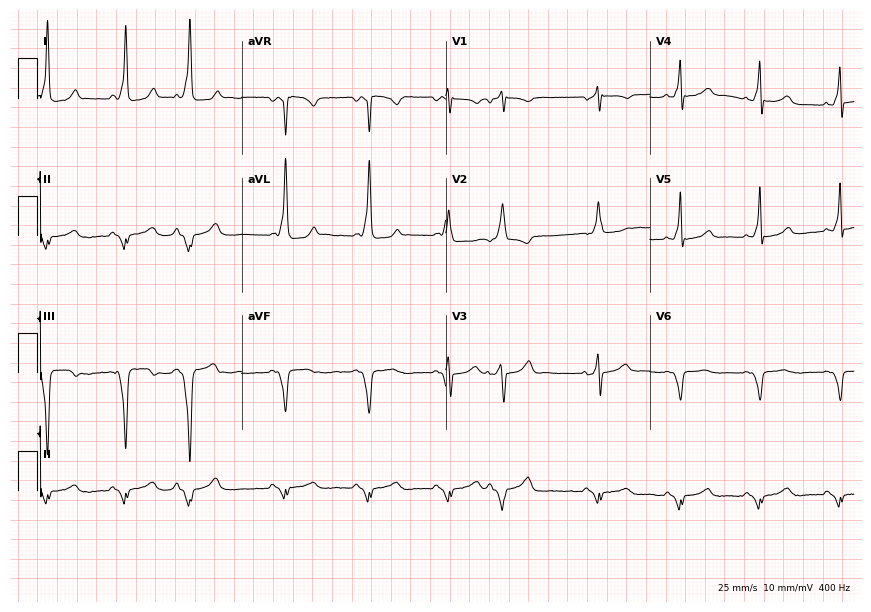
12-lead ECG (8.3-second recording at 400 Hz) from a 50-year-old woman. Screened for six findings — first-degree AV block, right bundle branch block, left bundle branch block, sinus bradycardia, atrial fibrillation, sinus tachycardia — none is recorded. Only these six findings were labelled.